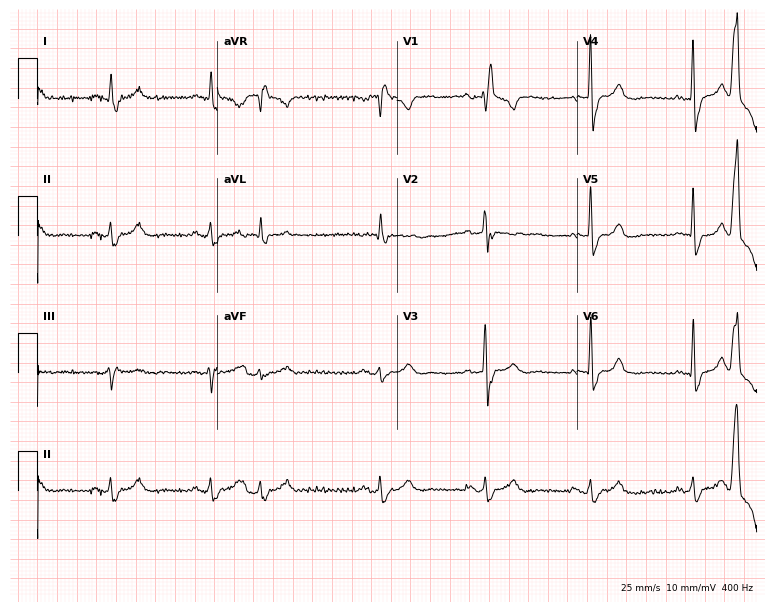
12-lead ECG from an 83-year-old male. Findings include right bundle branch block.